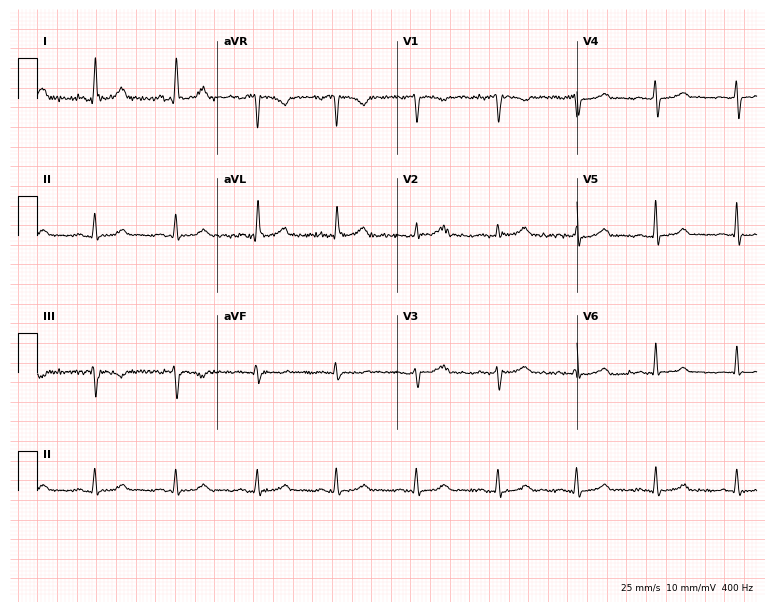
Standard 12-lead ECG recorded from a 58-year-old woman (7.3-second recording at 400 Hz). Read as a normal ECG.